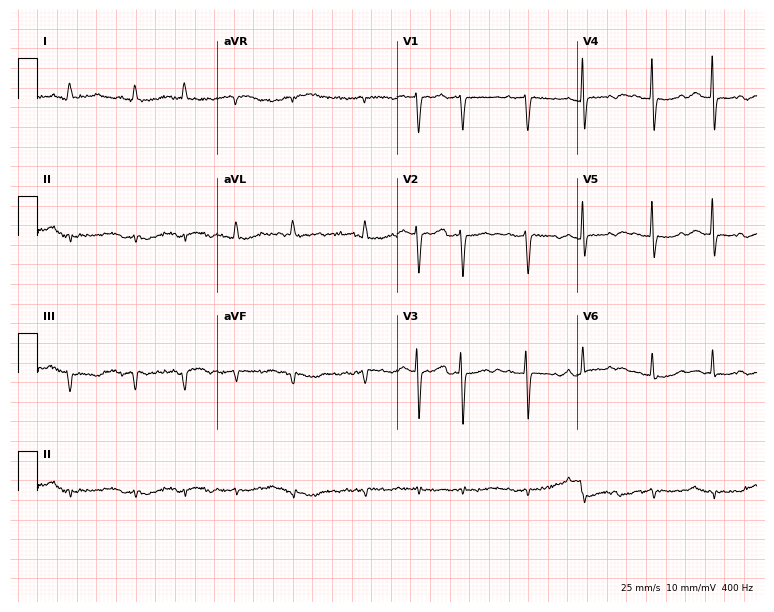
Electrocardiogram (7.3-second recording at 400 Hz), a female, 58 years old. Interpretation includes atrial fibrillation.